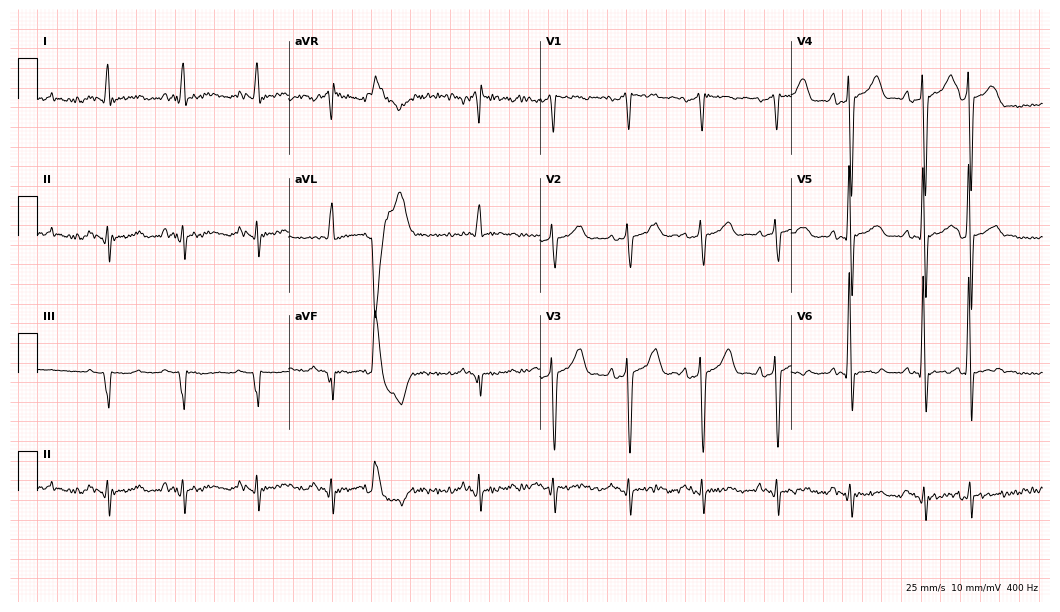
Electrocardiogram (10.2-second recording at 400 Hz), a male, 74 years old. Of the six screened findings (first-degree AV block, right bundle branch block, left bundle branch block, sinus bradycardia, atrial fibrillation, sinus tachycardia), none is recorded.